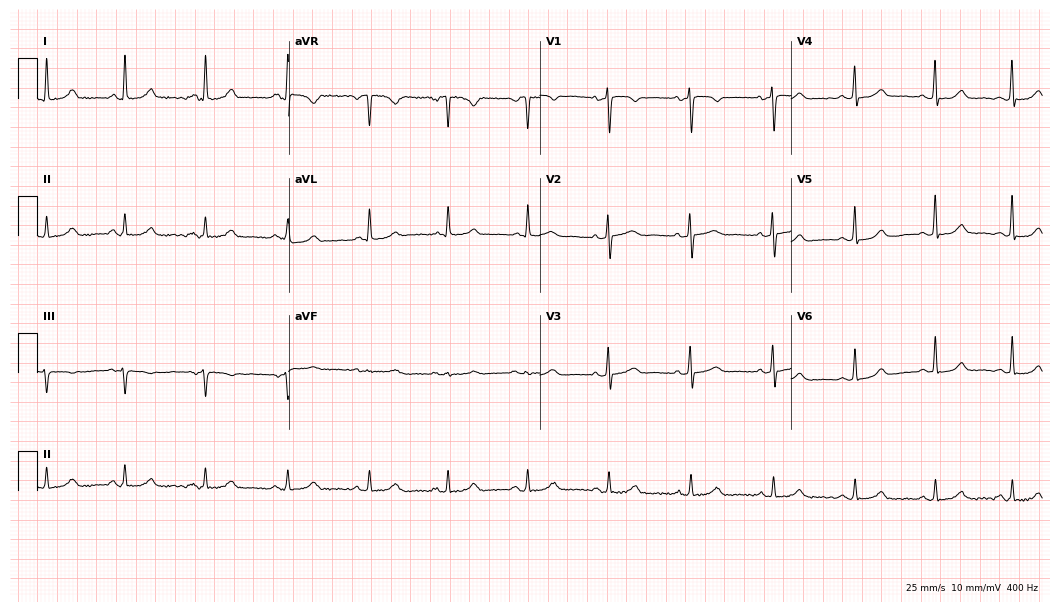
ECG — a female patient, 44 years old. Screened for six findings — first-degree AV block, right bundle branch block (RBBB), left bundle branch block (LBBB), sinus bradycardia, atrial fibrillation (AF), sinus tachycardia — none is recorded. Other findings, if any, are not listed.